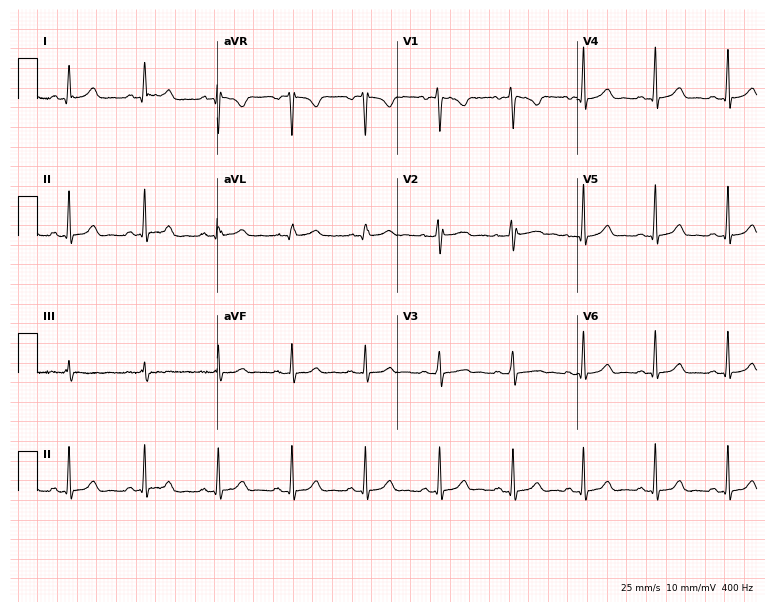
12-lead ECG from a female patient, 30 years old. Recorded interpretation: within normal limits.